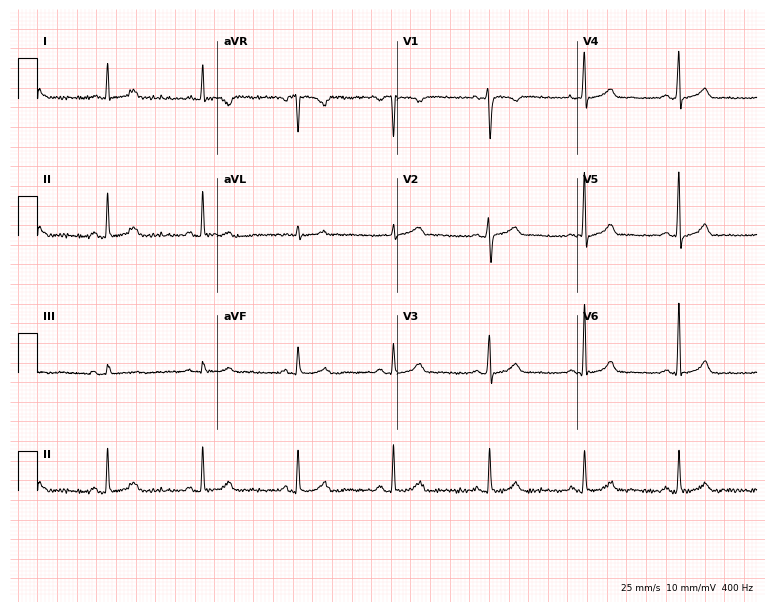
12-lead ECG from a female, 46 years old. Recorded interpretation: within normal limits.